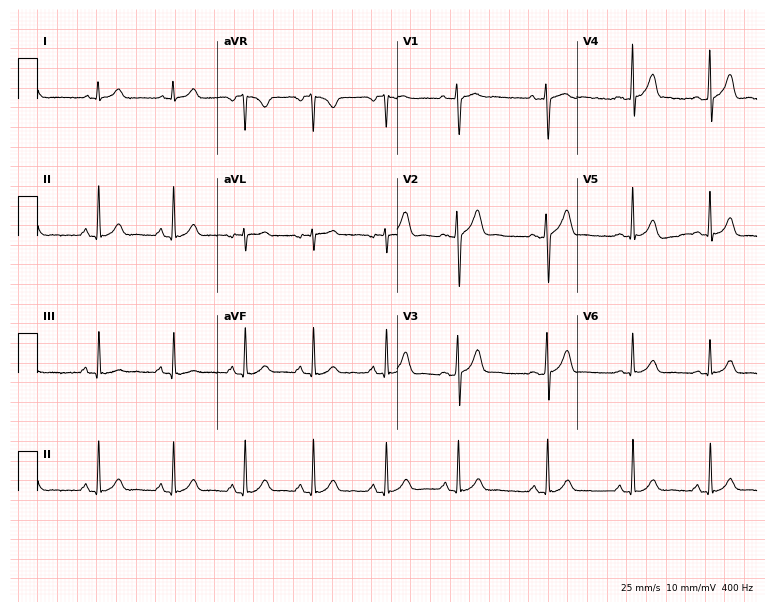
12-lead ECG from a woman, 20 years old (7.3-second recording at 400 Hz). No first-degree AV block, right bundle branch block, left bundle branch block, sinus bradycardia, atrial fibrillation or sinus tachycardia recorded for this tracing. Only these six findings were labelled.